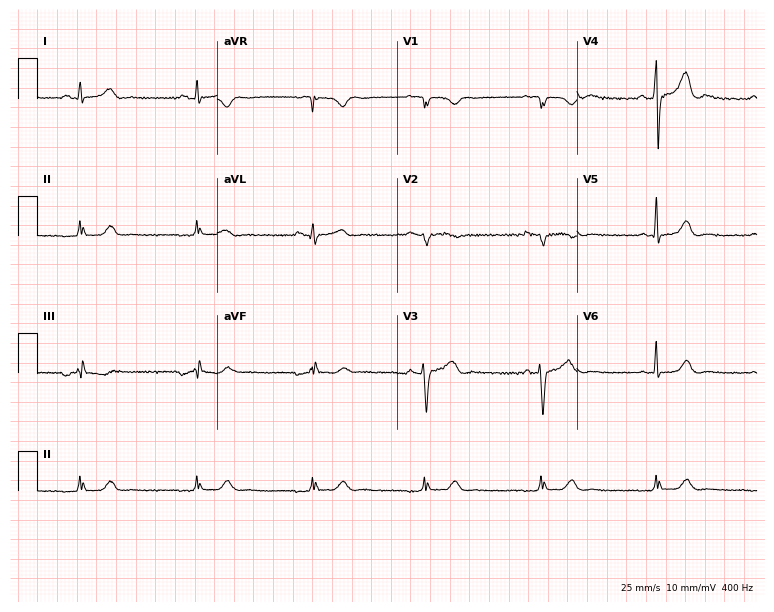
Resting 12-lead electrocardiogram (7.3-second recording at 400 Hz). Patient: a male, 51 years old. None of these six findings is recorded: first-degree AV block, right bundle branch block, left bundle branch block, sinus bradycardia, atrial fibrillation, sinus tachycardia.